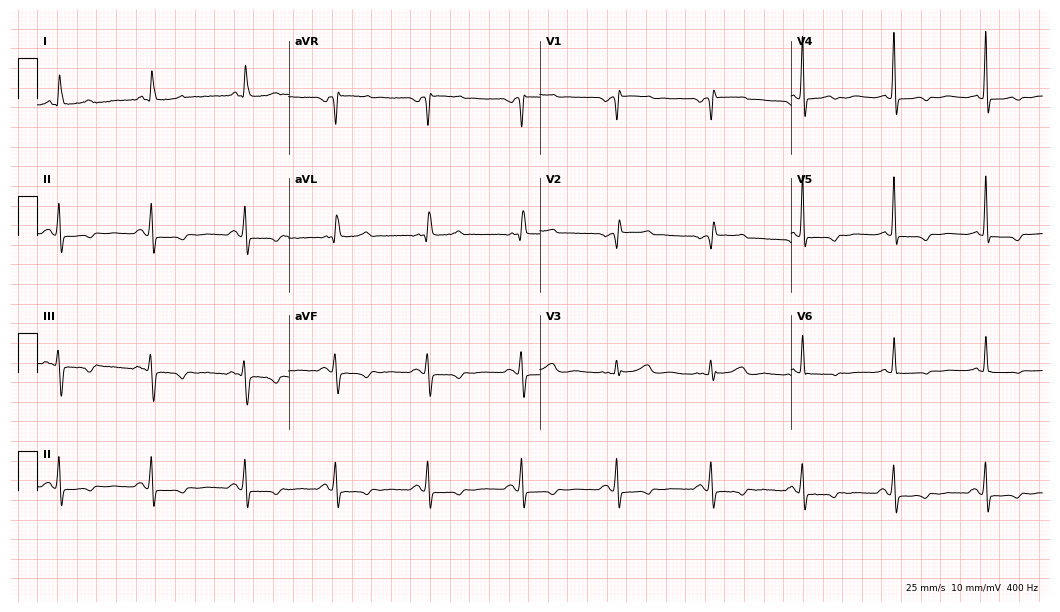
ECG — a 77-year-old female. Screened for six findings — first-degree AV block, right bundle branch block (RBBB), left bundle branch block (LBBB), sinus bradycardia, atrial fibrillation (AF), sinus tachycardia — none is recorded. Other findings, if any, are not listed.